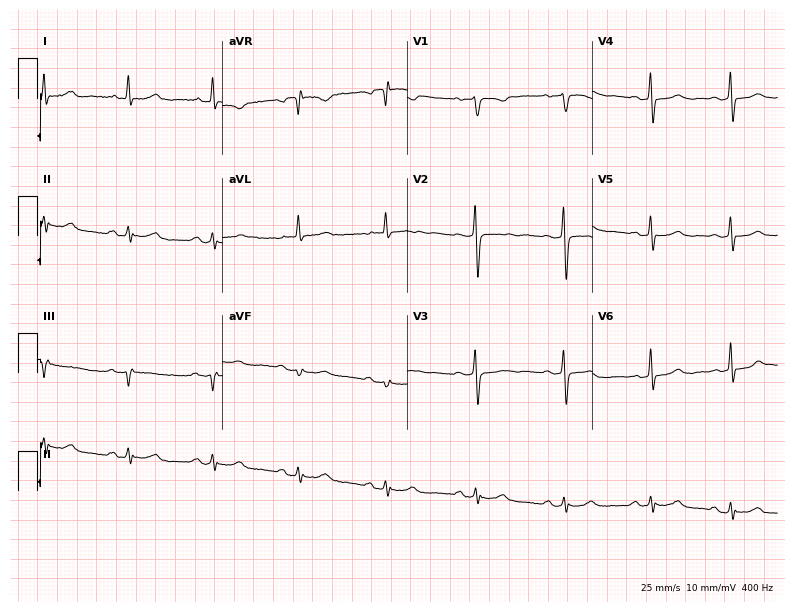
12-lead ECG from a woman, 66 years old (7.5-second recording at 400 Hz). Recorded interpretation: within normal limits.